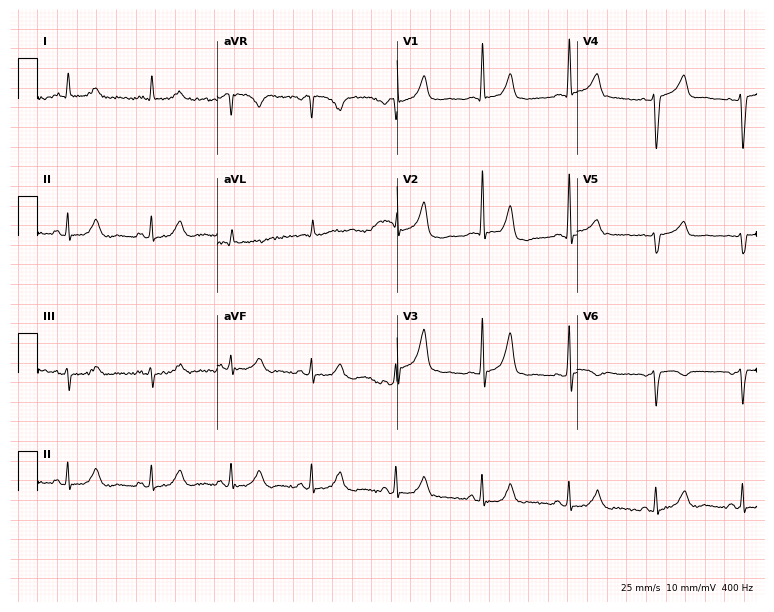
Resting 12-lead electrocardiogram (7.3-second recording at 400 Hz). Patient: a 38-year-old female. None of these six findings is recorded: first-degree AV block, right bundle branch block, left bundle branch block, sinus bradycardia, atrial fibrillation, sinus tachycardia.